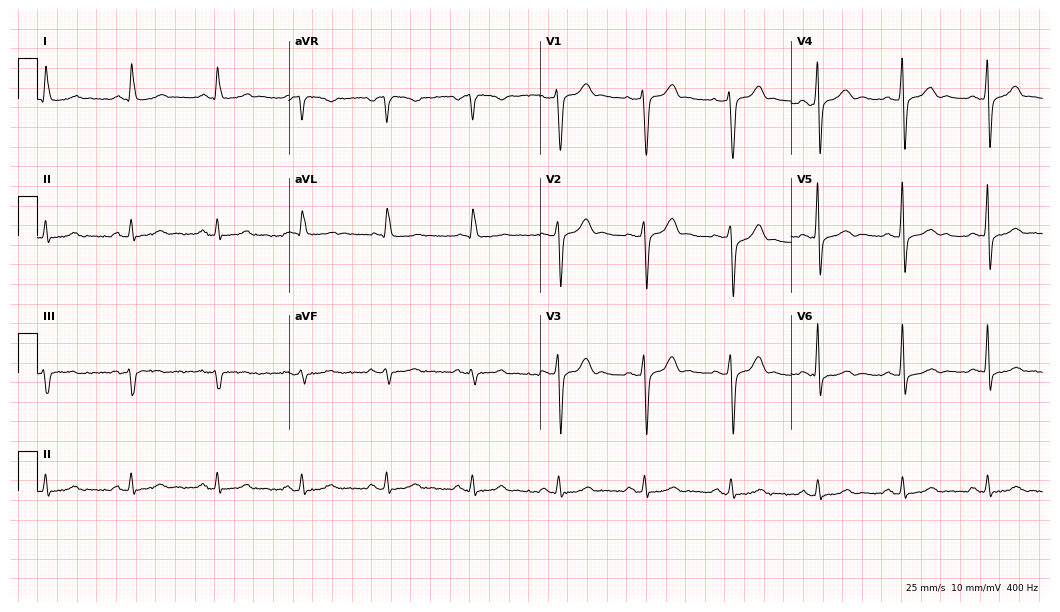
Standard 12-lead ECG recorded from a man, 67 years old. None of these six findings is recorded: first-degree AV block, right bundle branch block, left bundle branch block, sinus bradycardia, atrial fibrillation, sinus tachycardia. Other findings, if any, are not listed.